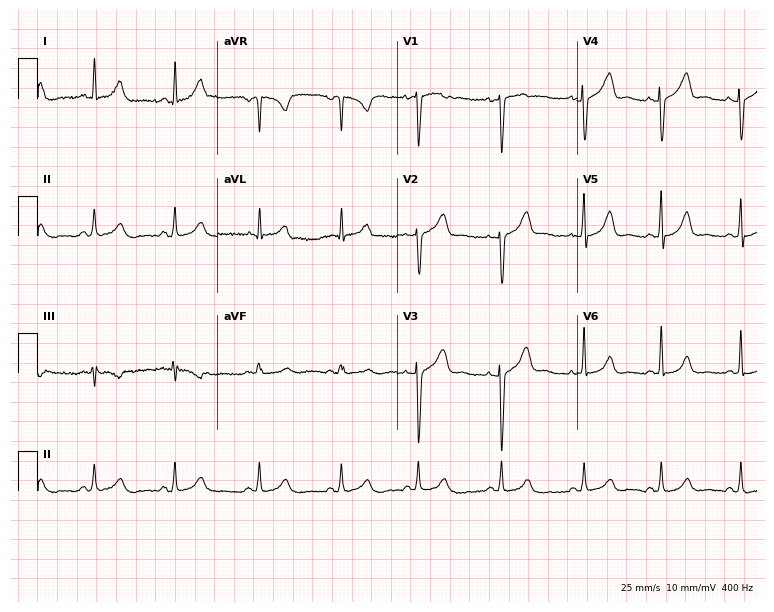
Electrocardiogram, a female patient, 41 years old. Overall reading on record: normal ECG.